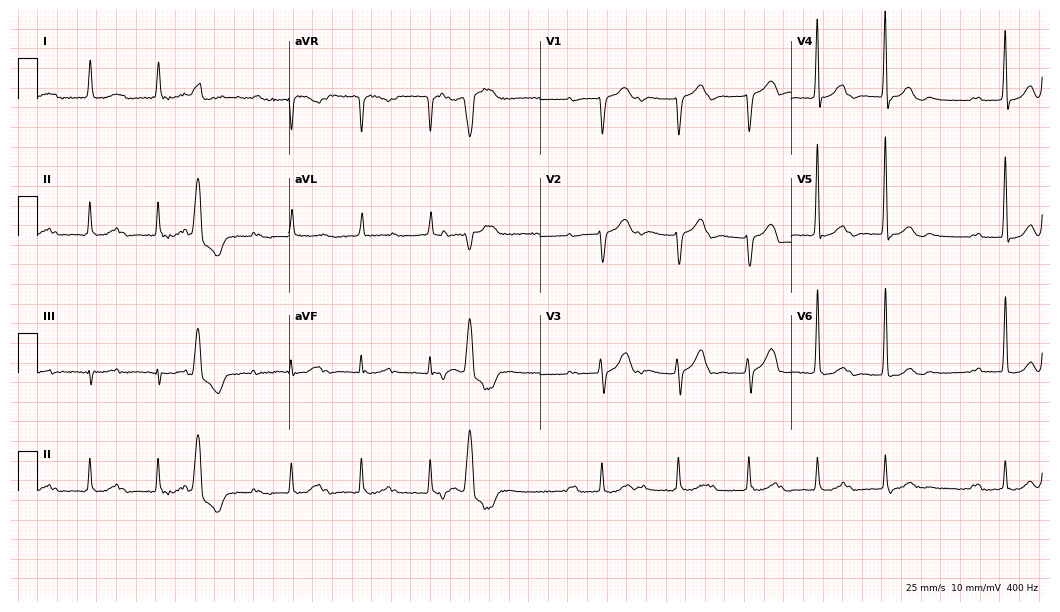
12-lead ECG from a male, 85 years old (10.2-second recording at 400 Hz). Shows first-degree AV block, atrial fibrillation.